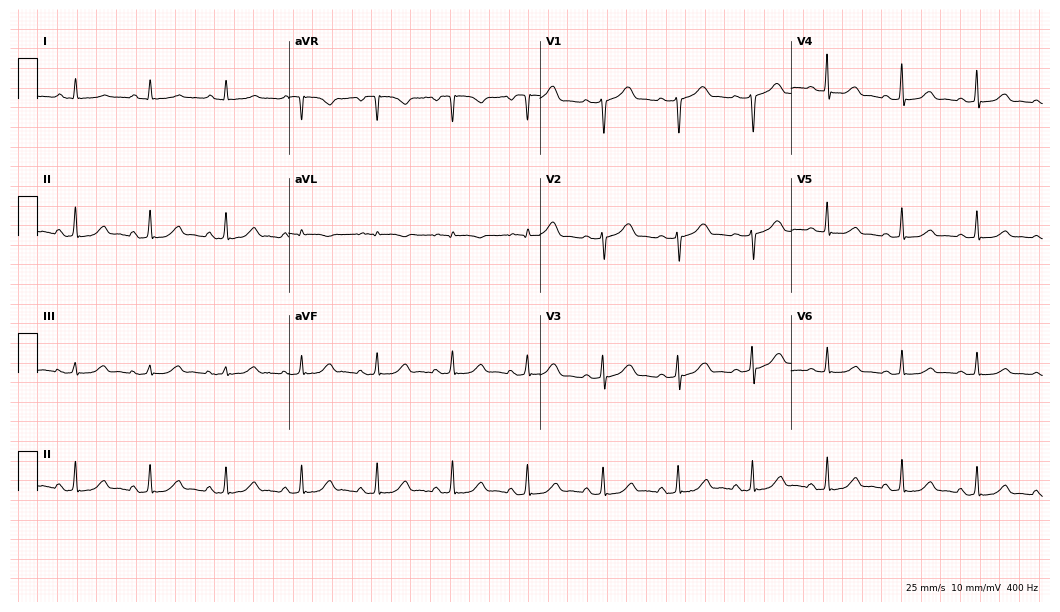
12-lead ECG from a female, 81 years old. Labelled as a normal ECG.